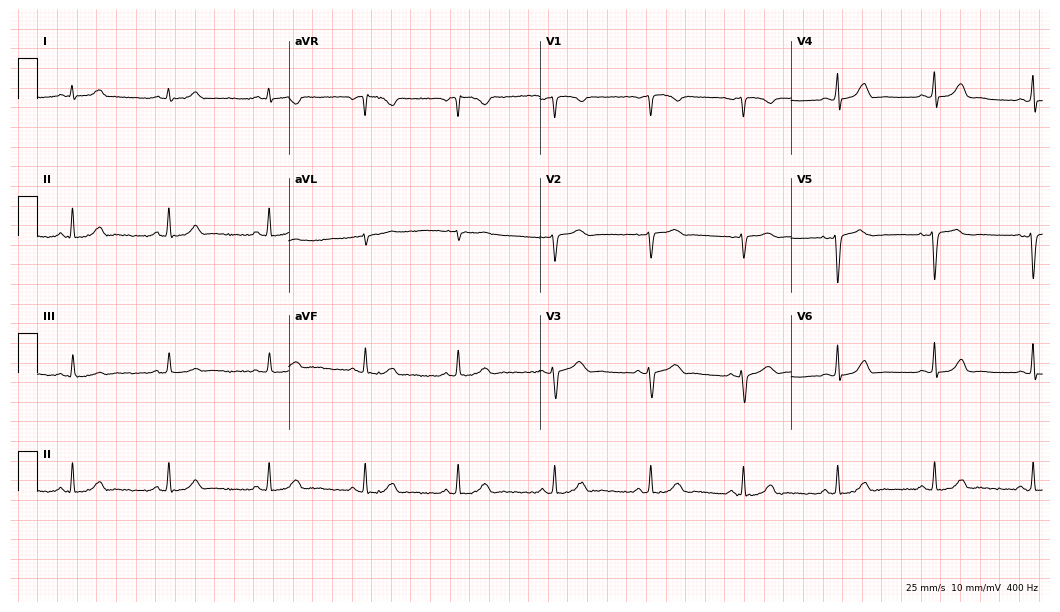
12-lead ECG from a 42-year-old female. Recorded interpretation: within normal limits.